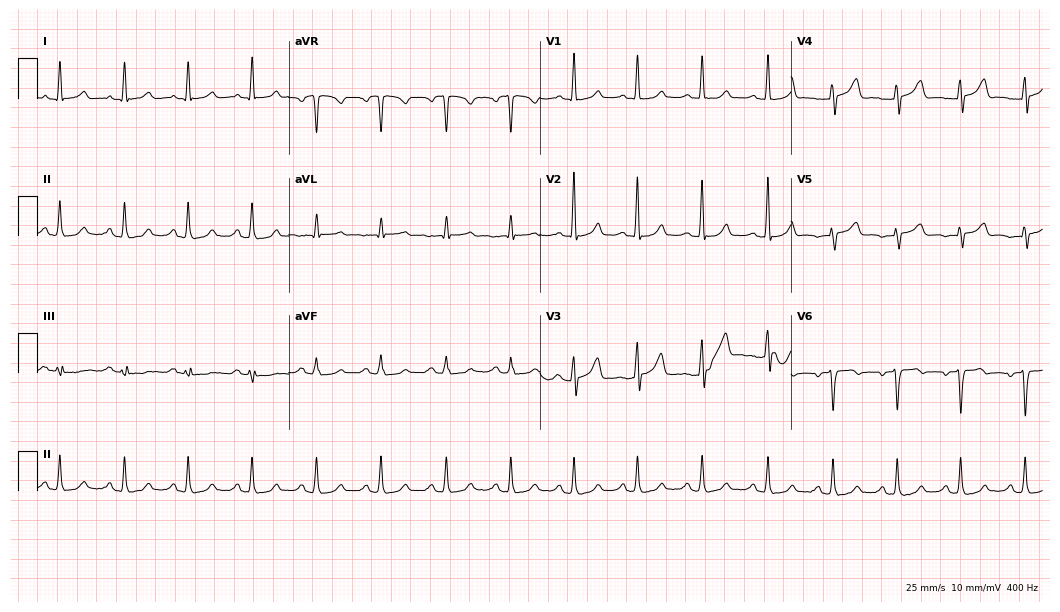
ECG — a 54-year-old female patient. Labelled as a normal ECG.